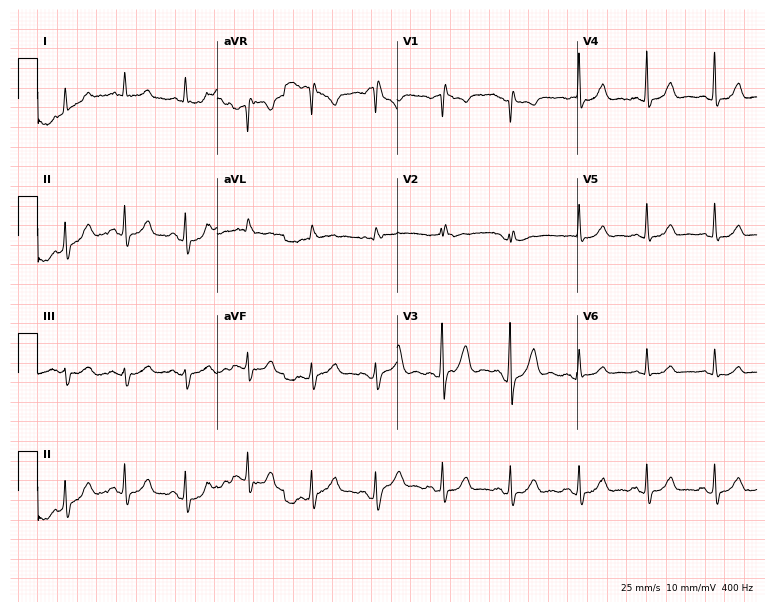
Resting 12-lead electrocardiogram. Patient: a 53-year-old female. None of these six findings is recorded: first-degree AV block, right bundle branch block, left bundle branch block, sinus bradycardia, atrial fibrillation, sinus tachycardia. Other findings, if any, are not listed.